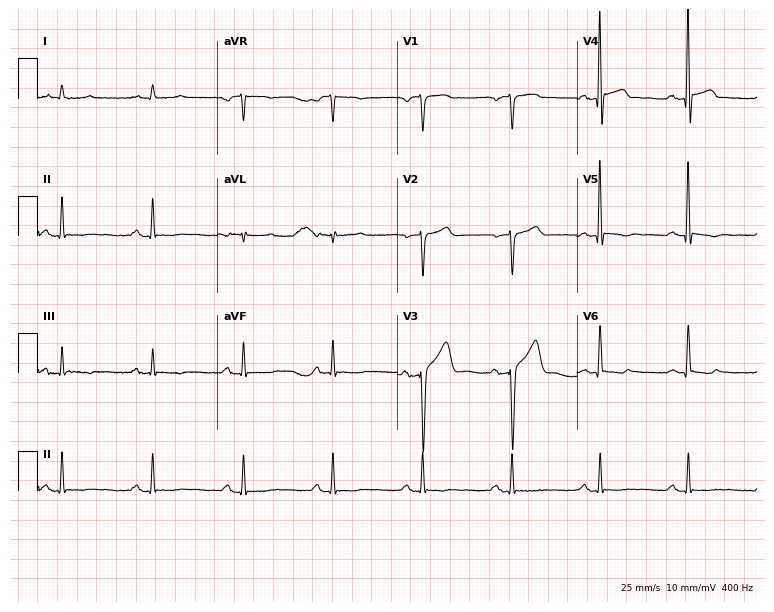
Standard 12-lead ECG recorded from a 57-year-old man (7.3-second recording at 400 Hz). None of these six findings is recorded: first-degree AV block, right bundle branch block, left bundle branch block, sinus bradycardia, atrial fibrillation, sinus tachycardia.